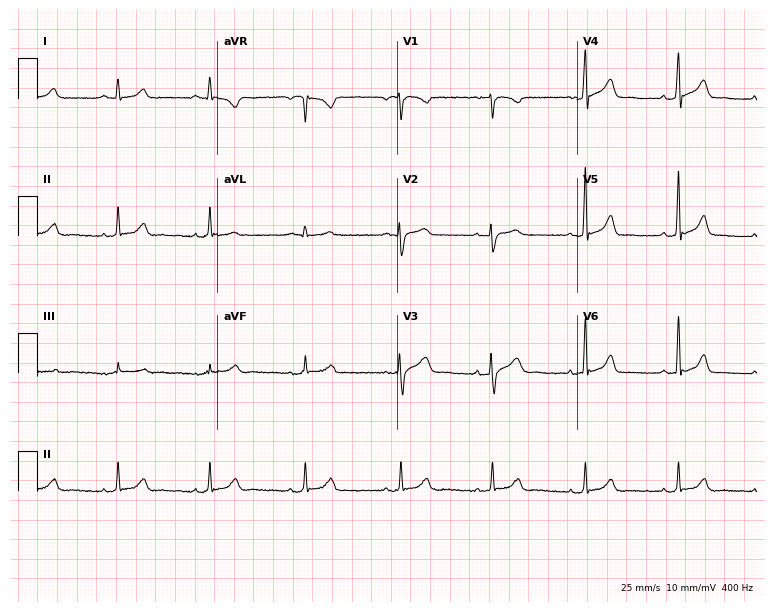
ECG — a 49-year-old man. Labelled as a normal ECG.